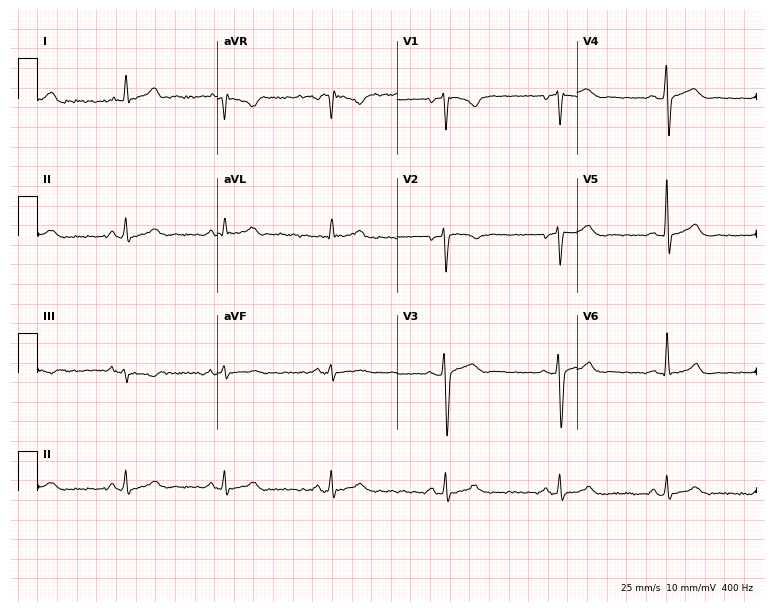
12-lead ECG from a 45-year-old male. No first-degree AV block, right bundle branch block (RBBB), left bundle branch block (LBBB), sinus bradycardia, atrial fibrillation (AF) or sinus tachycardia recorded for this tracing.